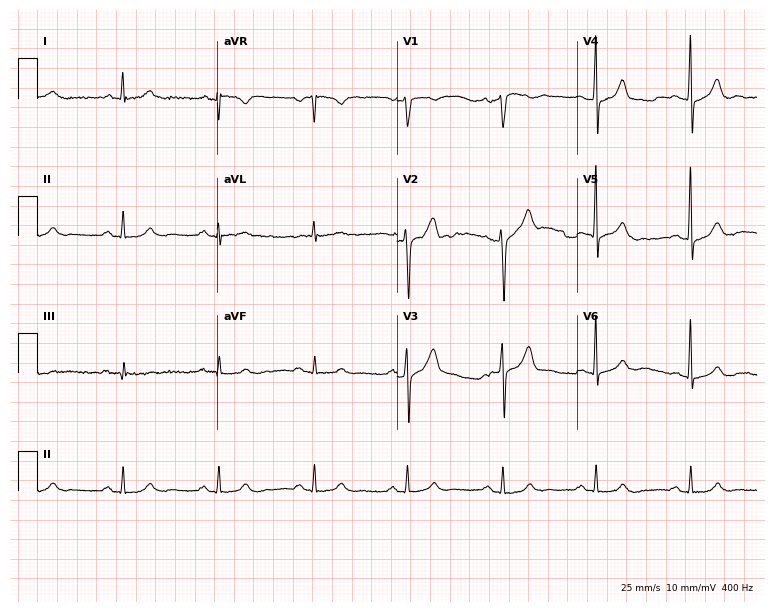
12-lead ECG from a 71-year-old man. Labelled as a normal ECG.